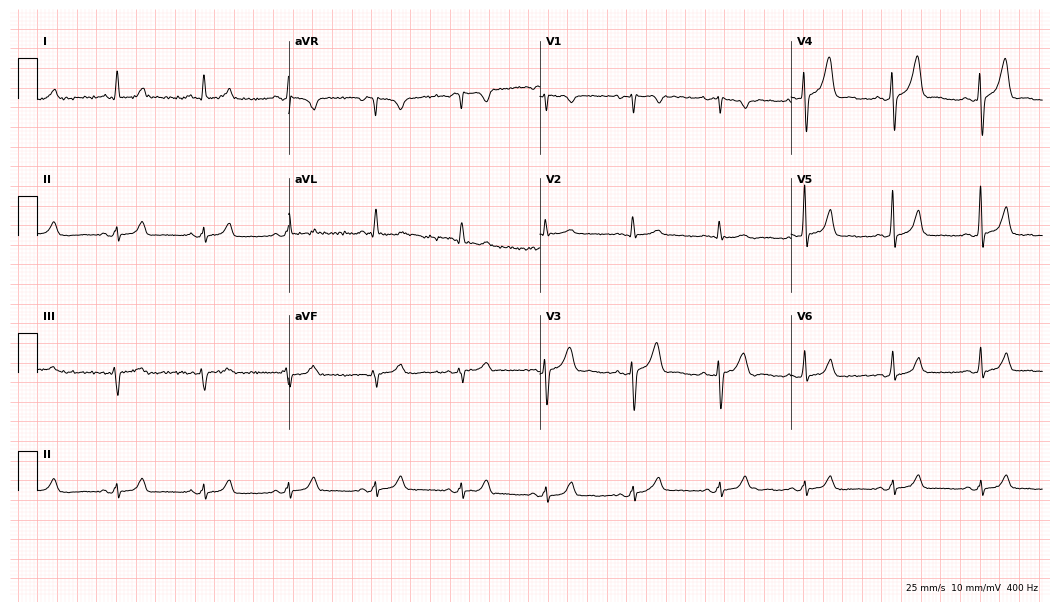
12-lead ECG from a man, 52 years old (10.2-second recording at 400 Hz). Recorded interpretation: within normal limits.